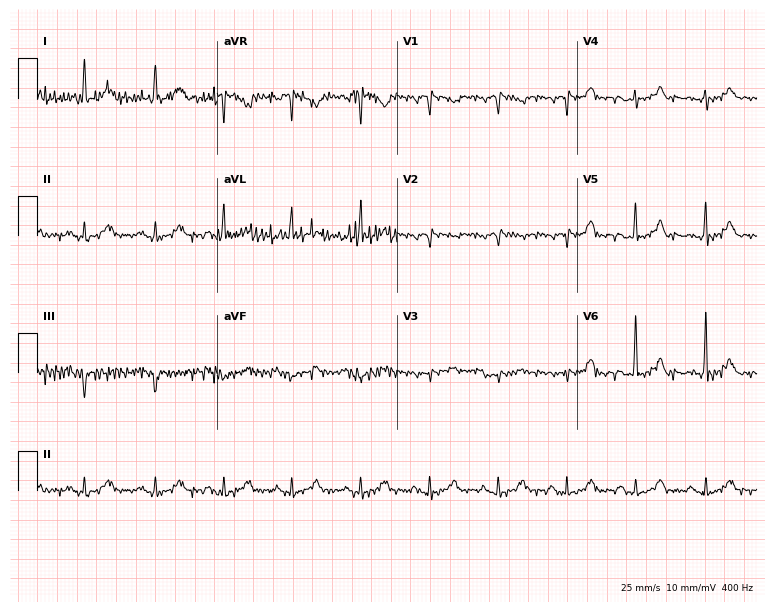
12-lead ECG from a 70-year-old female. No first-degree AV block, right bundle branch block (RBBB), left bundle branch block (LBBB), sinus bradycardia, atrial fibrillation (AF) or sinus tachycardia recorded for this tracing.